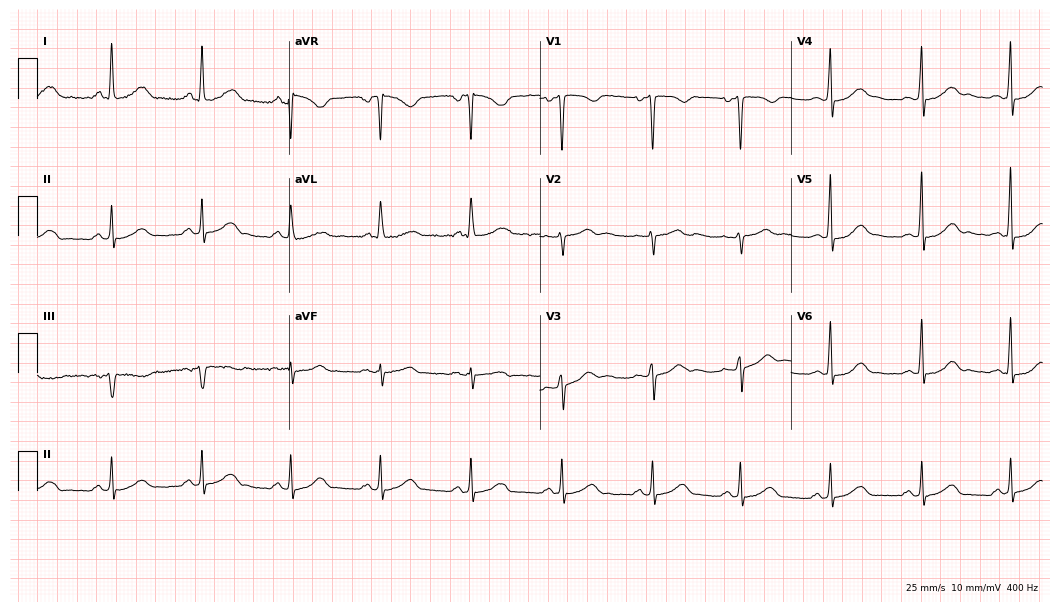
Electrocardiogram, a woman, 46 years old. Overall reading on record: normal ECG.